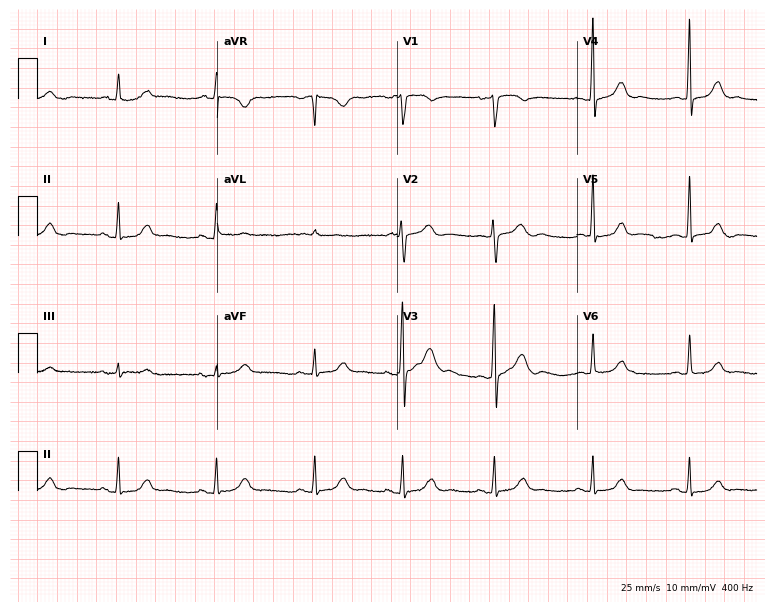
12-lead ECG from a 54-year-old female patient. Screened for six findings — first-degree AV block, right bundle branch block, left bundle branch block, sinus bradycardia, atrial fibrillation, sinus tachycardia — none is recorded. Findings outside these six are not listed.